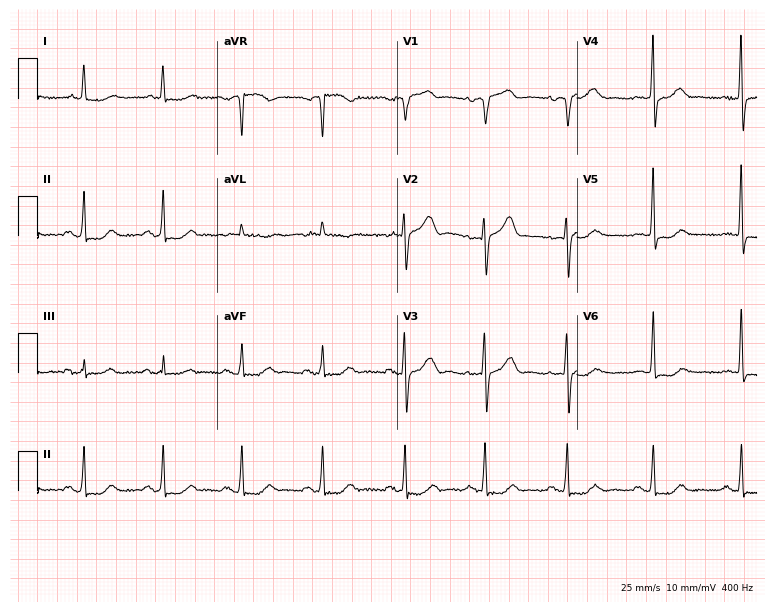
12-lead ECG from a male patient, 78 years old. No first-degree AV block, right bundle branch block (RBBB), left bundle branch block (LBBB), sinus bradycardia, atrial fibrillation (AF) or sinus tachycardia recorded for this tracing.